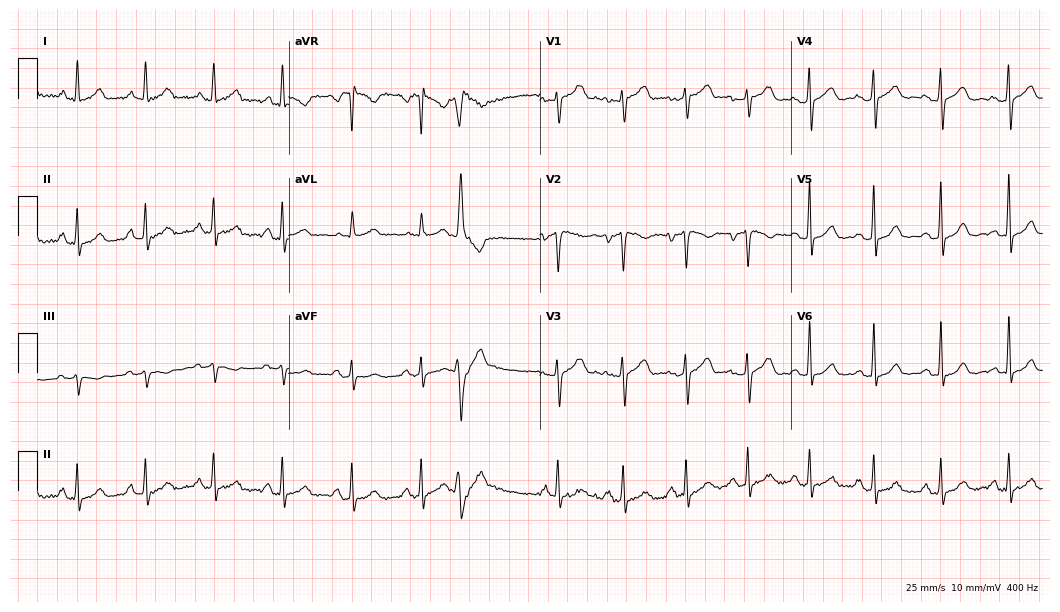
Electrocardiogram, a 41-year-old female patient. Overall reading on record: normal ECG.